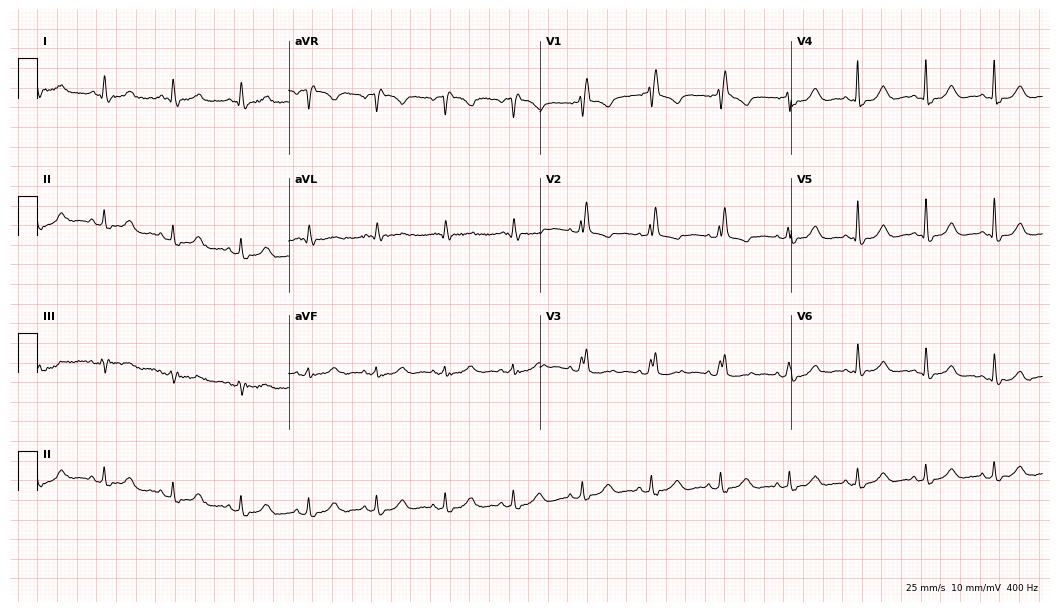
12-lead ECG from a 72-year-old female patient (10.2-second recording at 400 Hz). Shows right bundle branch block.